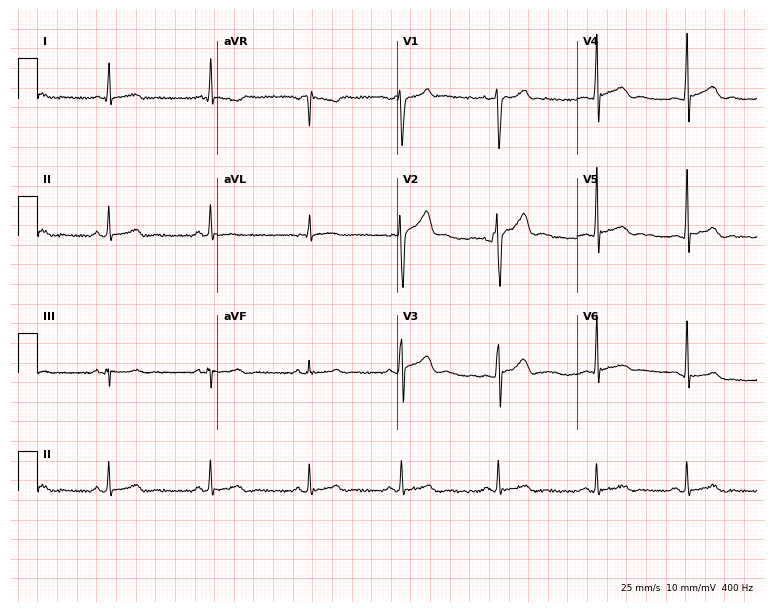
ECG (7.3-second recording at 400 Hz) — a 27-year-old male patient. Labelled as a normal ECG.